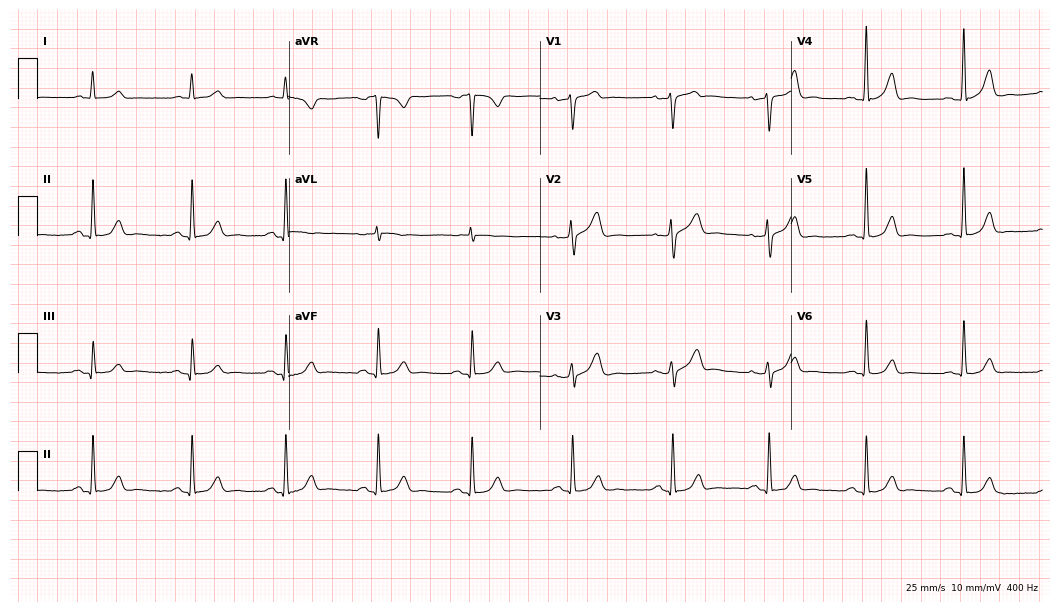
12-lead ECG (10.2-second recording at 400 Hz) from a 53-year-old man. Labelled as a normal ECG.